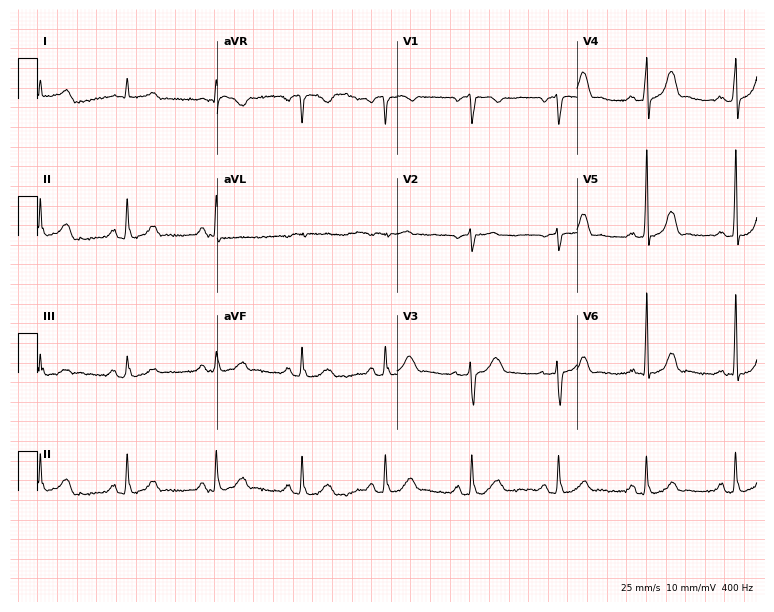
Standard 12-lead ECG recorded from a male, 68 years old (7.3-second recording at 400 Hz). Read as a normal ECG.